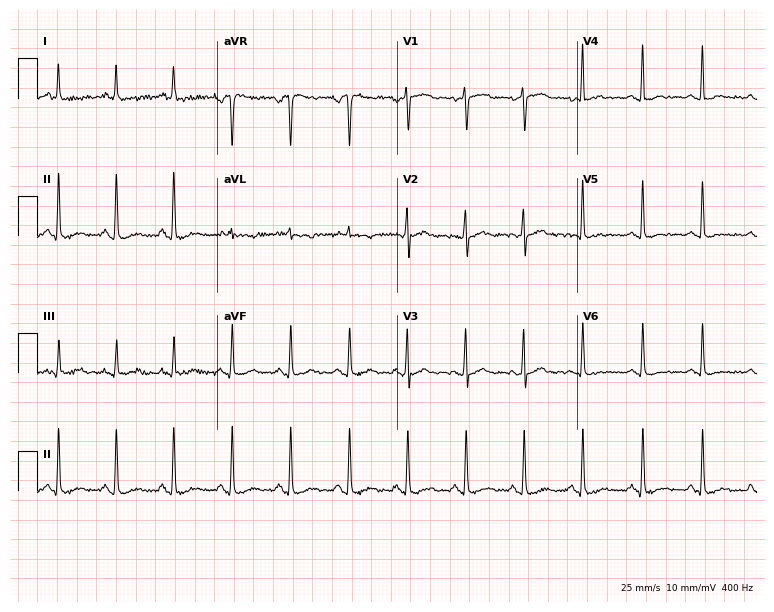
Electrocardiogram, a female, 46 years old. Of the six screened findings (first-degree AV block, right bundle branch block, left bundle branch block, sinus bradycardia, atrial fibrillation, sinus tachycardia), none is recorded.